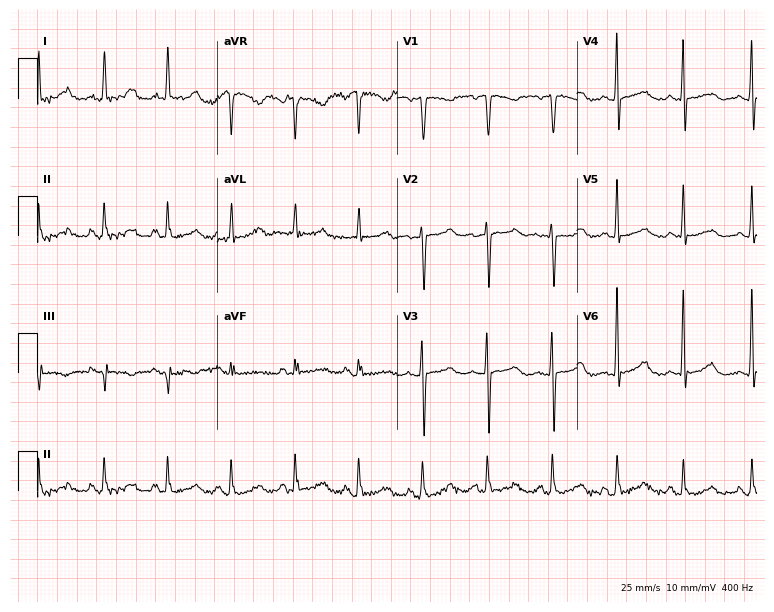
Electrocardiogram (7.3-second recording at 400 Hz), a 66-year-old woman. Of the six screened findings (first-degree AV block, right bundle branch block (RBBB), left bundle branch block (LBBB), sinus bradycardia, atrial fibrillation (AF), sinus tachycardia), none is recorded. Only these six findings were labelled.